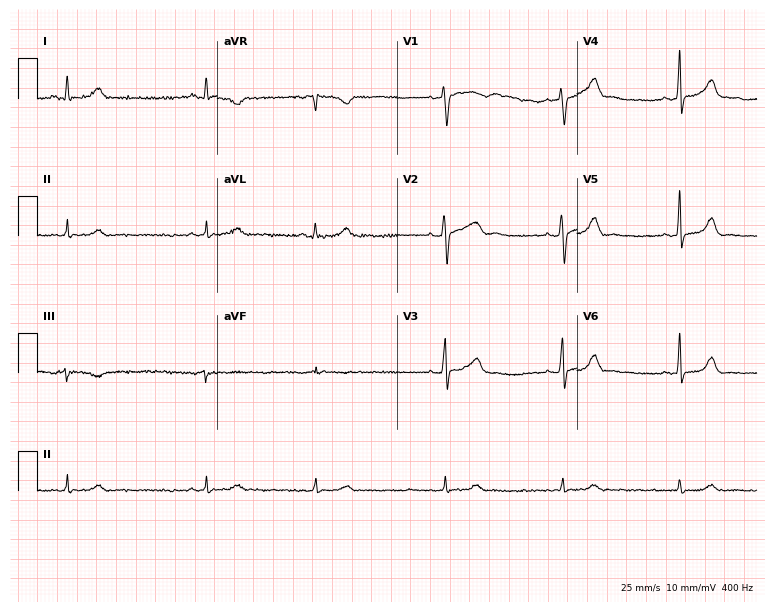
Electrocardiogram, a 32-year-old female patient. Overall reading on record: normal ECG.